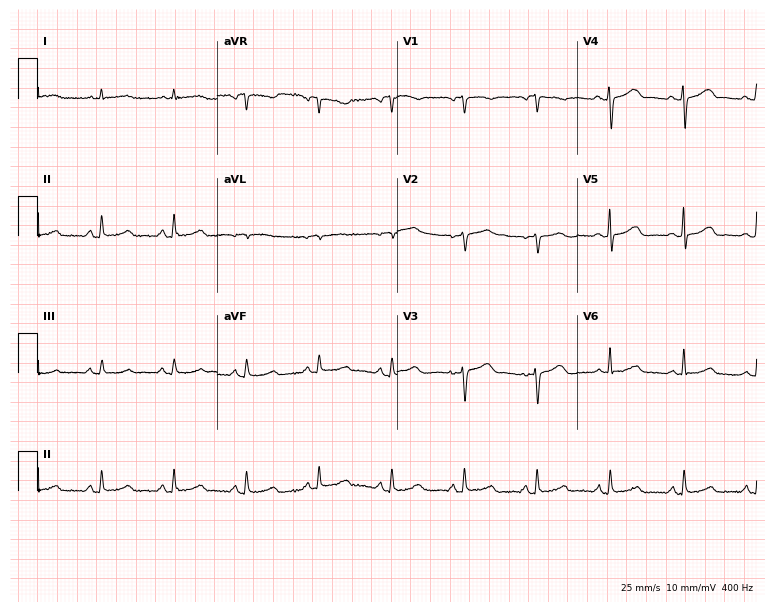
Resting 12-lead electrocardiogram (7.3-second recording at 400 Hz). Patient: a 67-year-old woman. Read as a normal ECG.